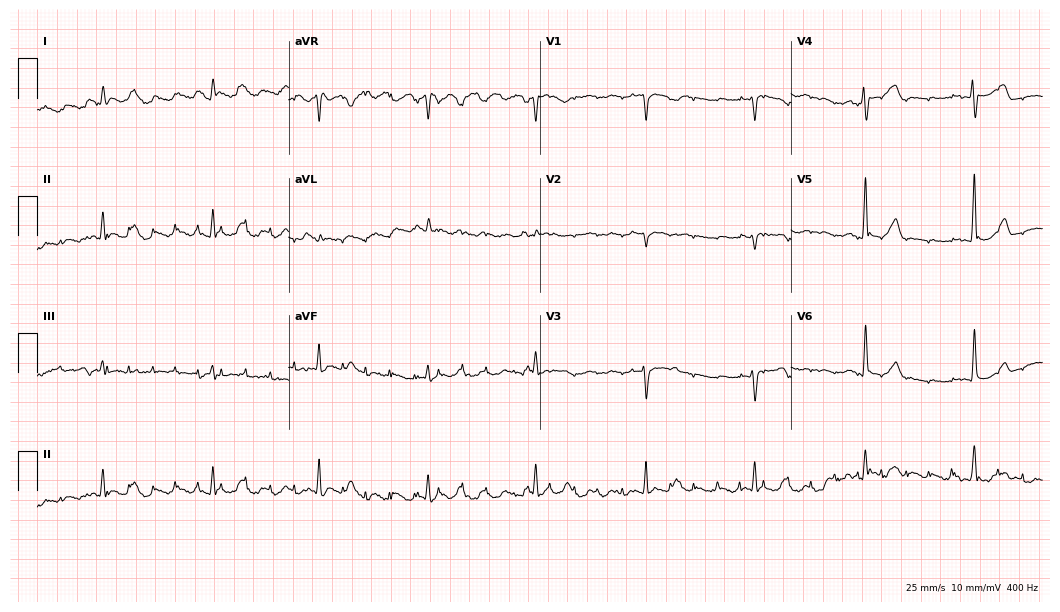
Resting 12-lead electrocardiogram (10.2-second recording at 400 Hz). Patient: a female, 85 years old. None of these six findings is recorded: first-degree AV block, right bundle branch block (RBBB), left bundle branch block (LBBB), sinus bradycardia, atrial fibrillation (AF), sinus tachycardia. Findings outside these six are not listed.